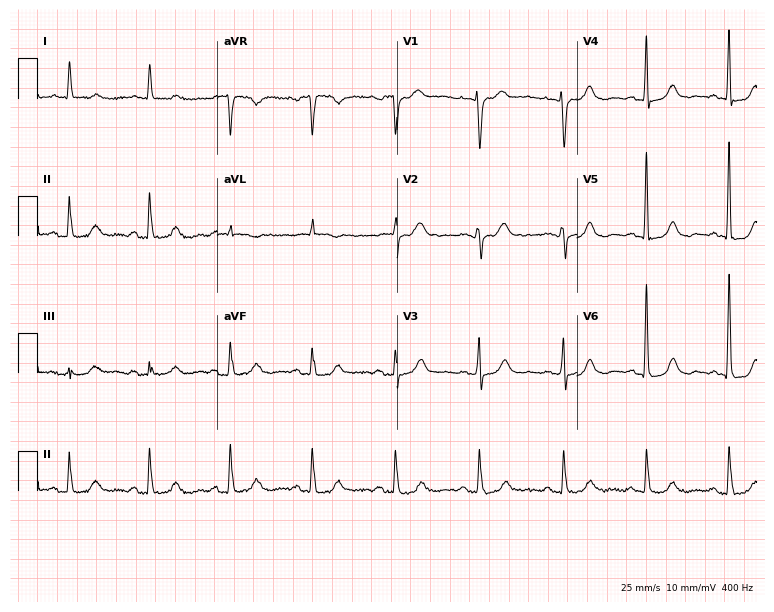
ECG (7.3-second recording at 400 Hz) — a female patient, 70 years old. Screened for six findings — first-degree AV block, right bundle branch block, left bundle branch block, sinus bradycardia, atrial fibrillation, sinus tachycardia — none is recorded. Other findings, if any, are not listed.